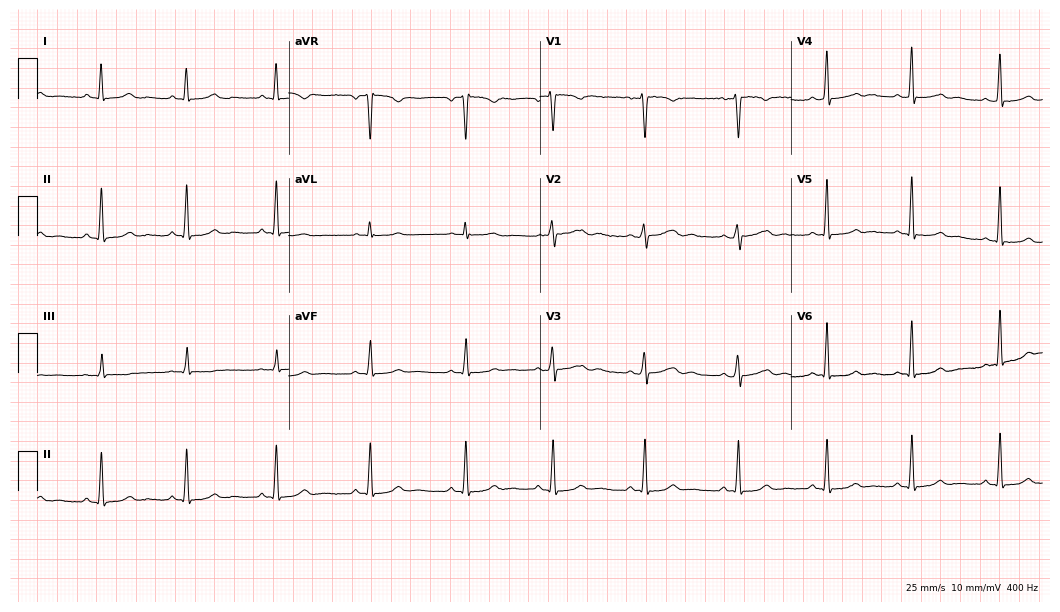
12-lead ECG from a 39-year-old female patient (10.2-second recording at 400 Hz). No first-degree AV block, right bundle branch block, left bundle branch block, sinus bradycardia, atrial fibrillation or sinus tachycardia recorded for this tracing.